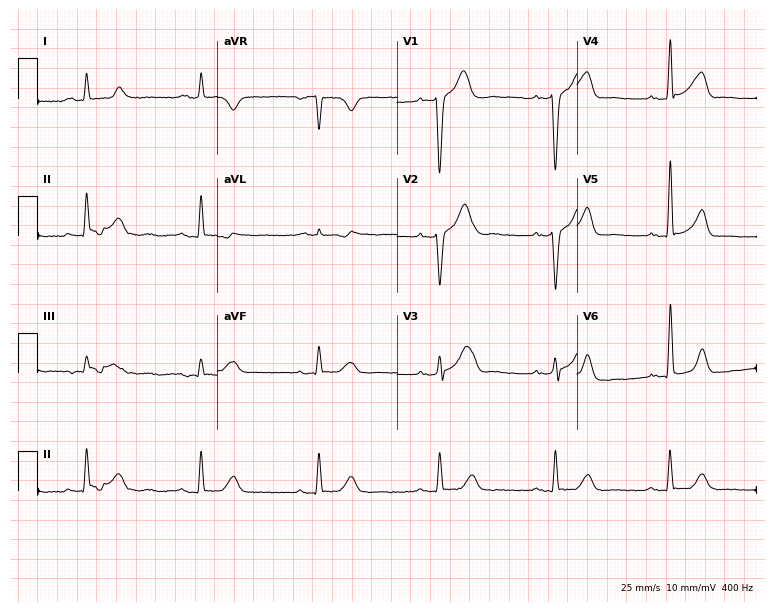
12-lead ECG (7.3-second recording at 400 Hz) from a male, 64 years old. Screened for six findings — first-degree AV block, right bundle branch block, left bundle branch block, sinus bradycardia, atrial fibrillation, sinus tachycardia — none is recorded.